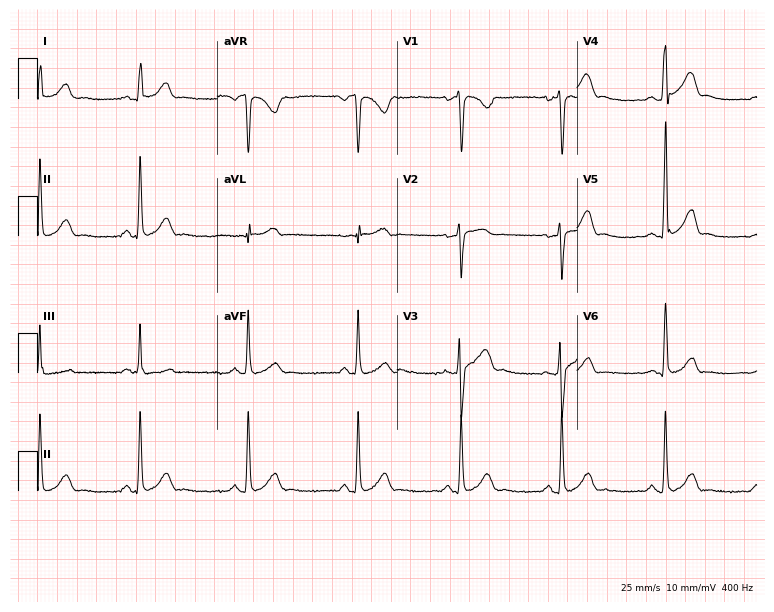
Electrocardiogram, a female, 25 years old. Overall reading on record: normal ECG.